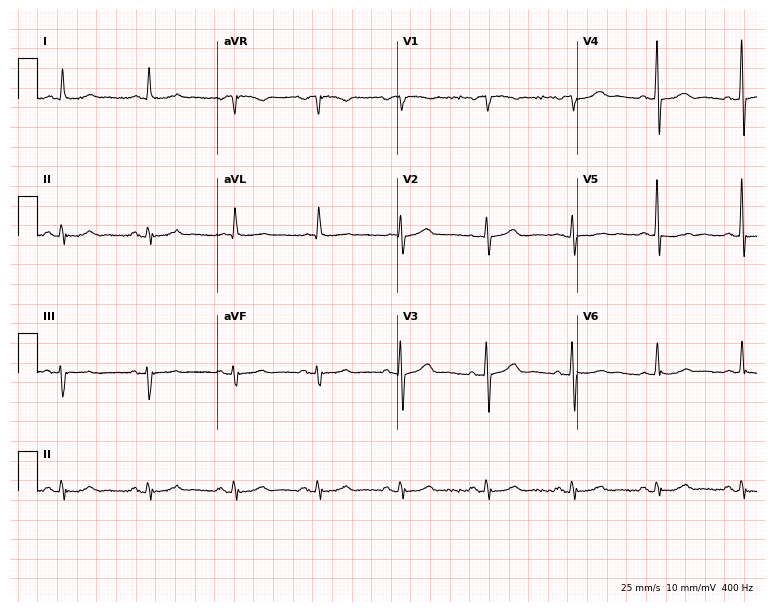
ECG — an 83-year-old male. Labelled as a normal ECG.